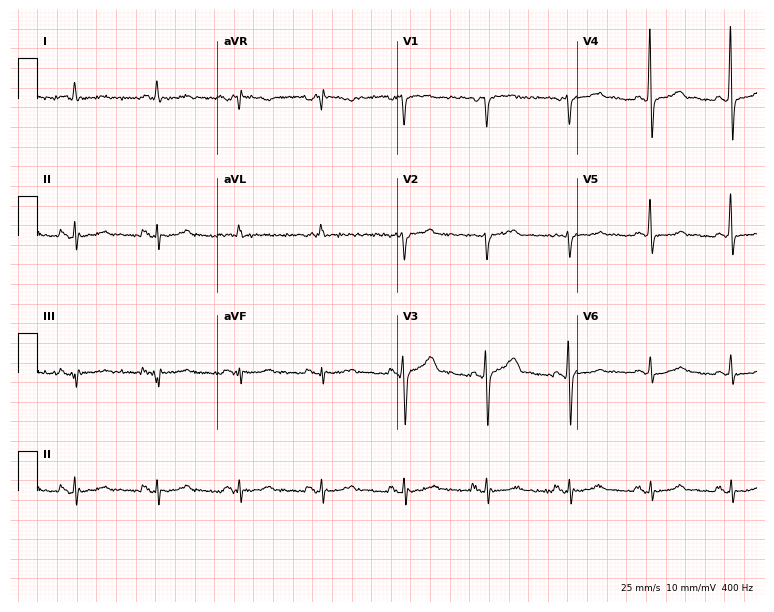
12-lead ECG from a 63-year-old male patient. No first-degree AV block, right bundle branch block (RBBB), left bundle branch block (LBBB), sinus bradycardia, atrial fibrillation (AF) or sinus tachycardia recorded for this tracing.